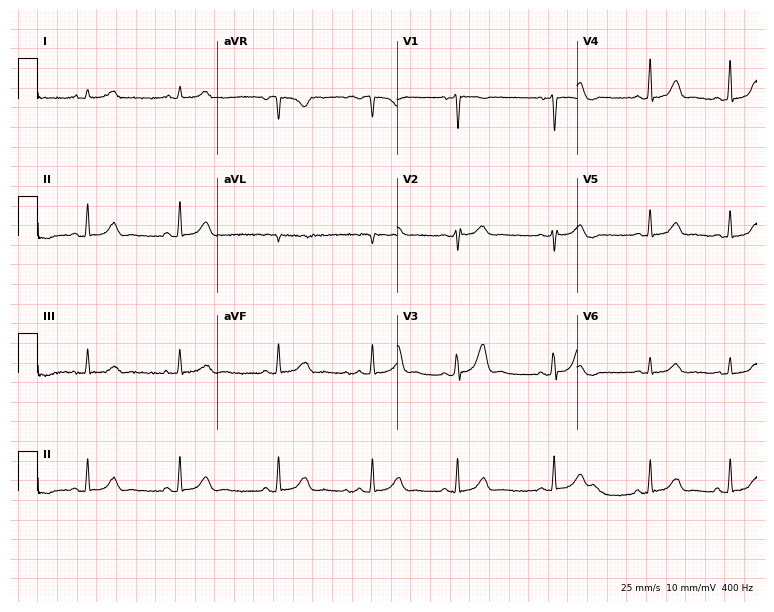
Electrocardiogram (7.3-second recording at 400 Hz), a woman, 37 years old. Overall reading on record: normal ECG.